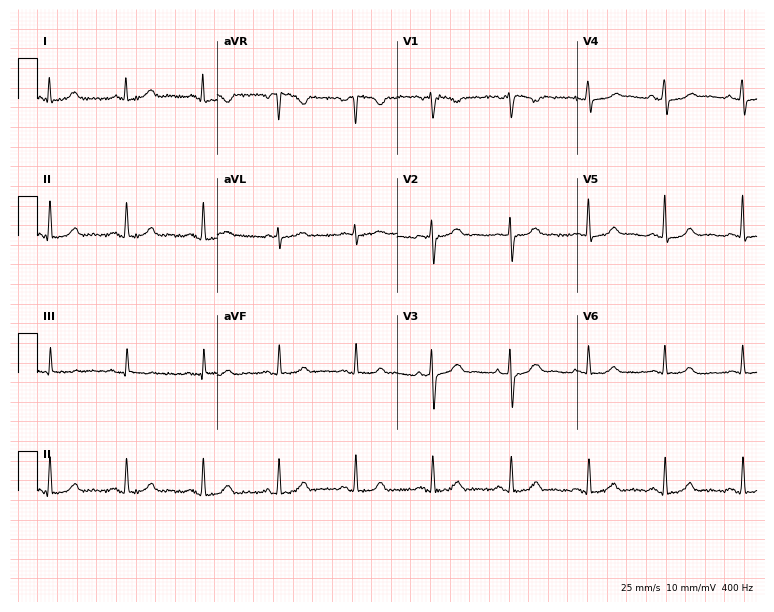
Resting 12-lead electrocardiogram (7.3-second recording at 400 Hz). Patient: a 57-year-old woman. Read as a normal ECG.